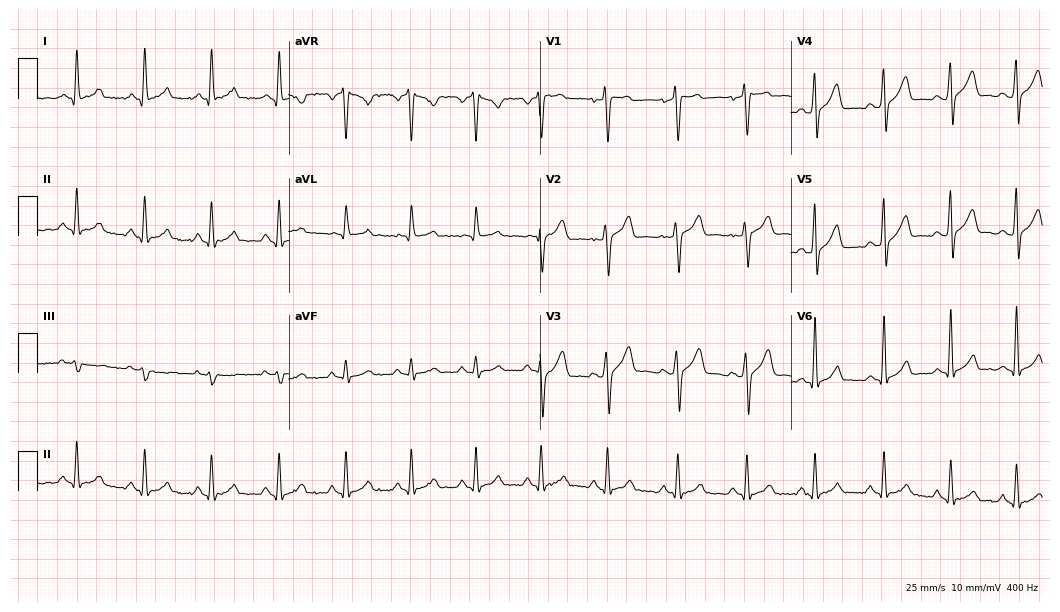
12-lead ECG from a 32-year-old man. Labelled as a normal ECG.